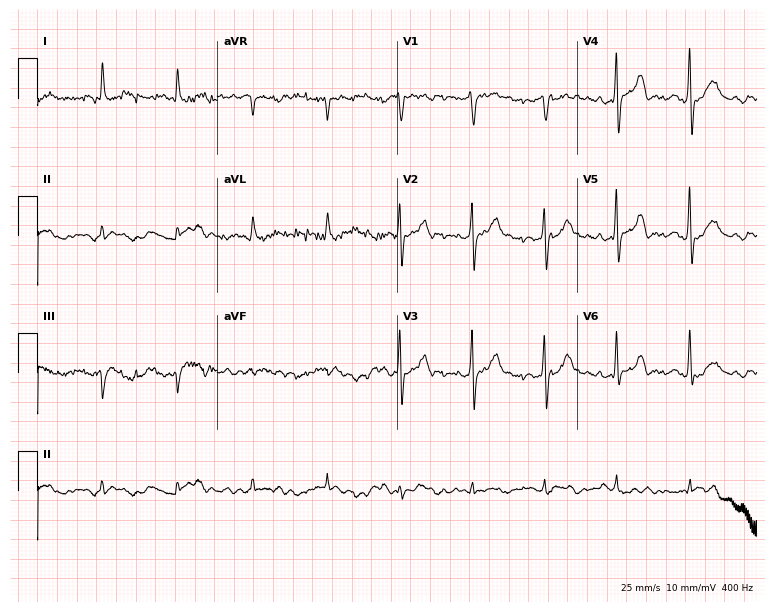
Electrocardiogram (7.3-second recording at 400 Hz), a 30-year-old male patient. Of the six screened findings (first-degree AV block, right bundle branch block (RBBB), left bundle branch block (LBBB), sinus bradycardia, atrial fibrillation (AF), sinus tachycardia), none is recorded. Findings outside these six are not listed.